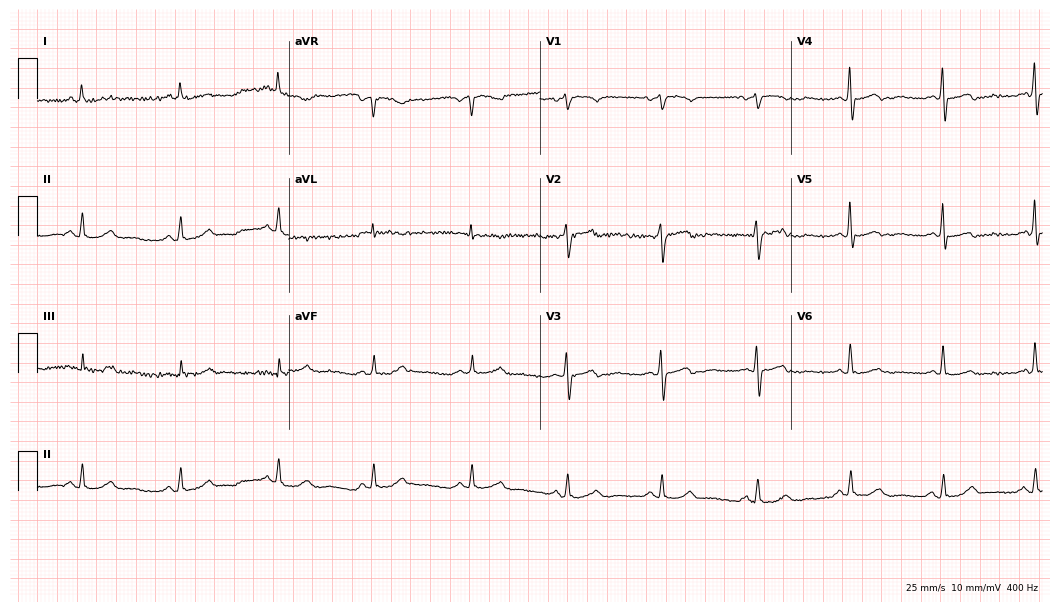
12-lead ECG from a female patient, 66 years old. No first-degree AV block, right bundle branch block, left bundle branch block, sinus bradycardia, atrial fibrillation or sinus tachycardia recorded for this tracing. Other findings, if any, are not listed.